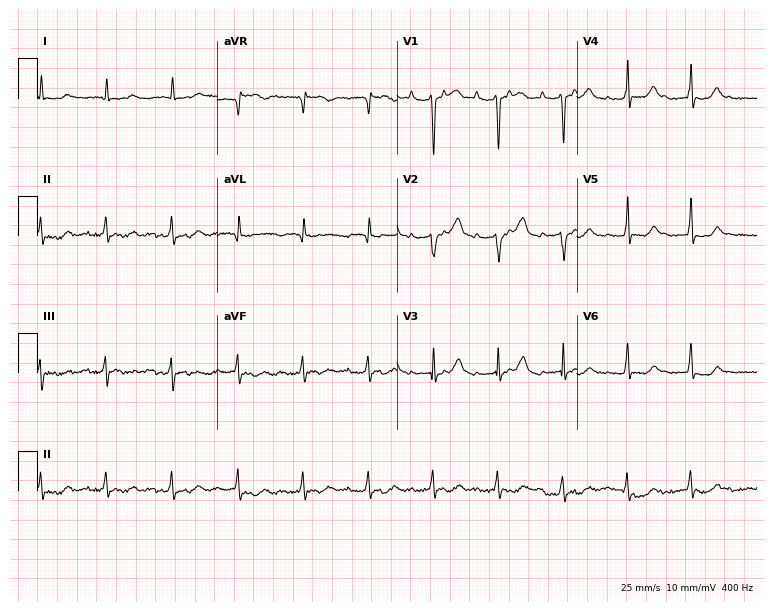
Electrocardiogram (7.3-second recording at 400 Hz), a male, 72 years old. Of the six screened findings (first-degree AV block, right bundle branch block, left bundle branch block, sinus bradycardia, atrial fibrillation, sinus tachycardia), none is recorded.